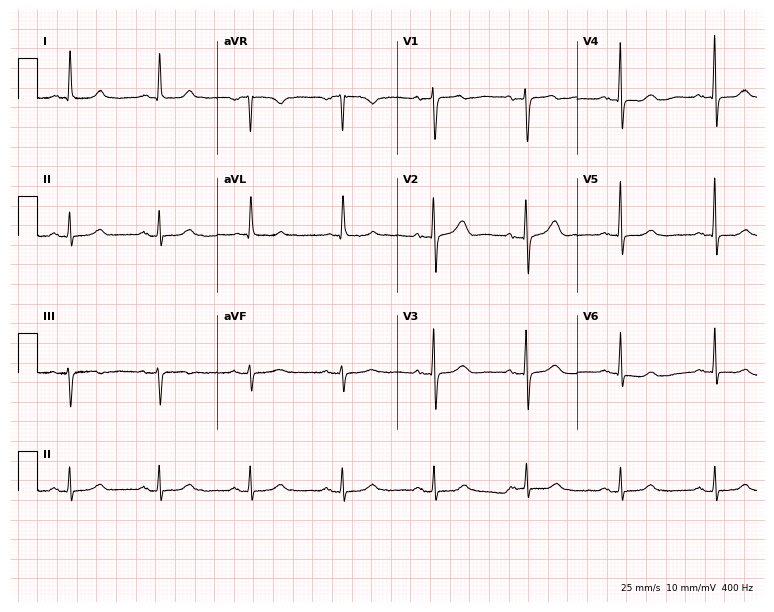
Standard 12-lead ECG recorded from a 75-year-old woman (7.3-second recording at 400 Hz). Read as a normal ECG.